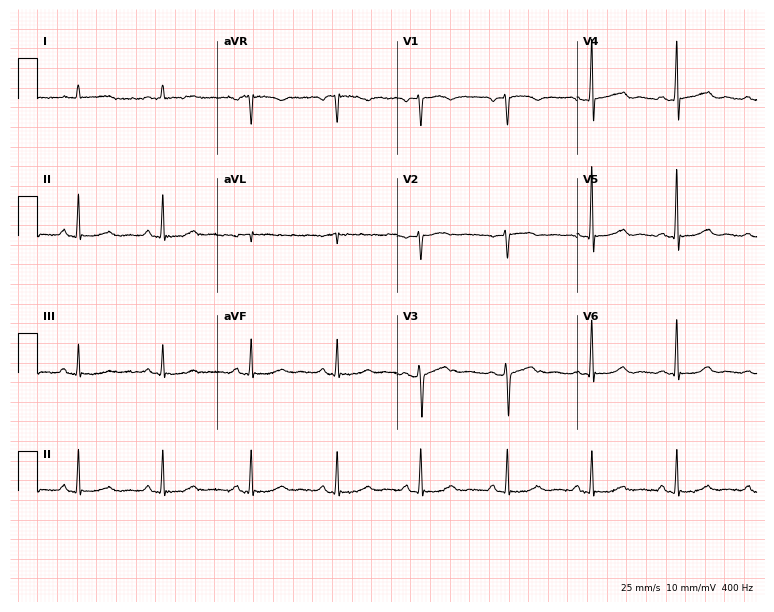
12-lead ECG (7.3-second recording at 400 Hz) from a female, 50 years old. Labelled as a normal ECG.